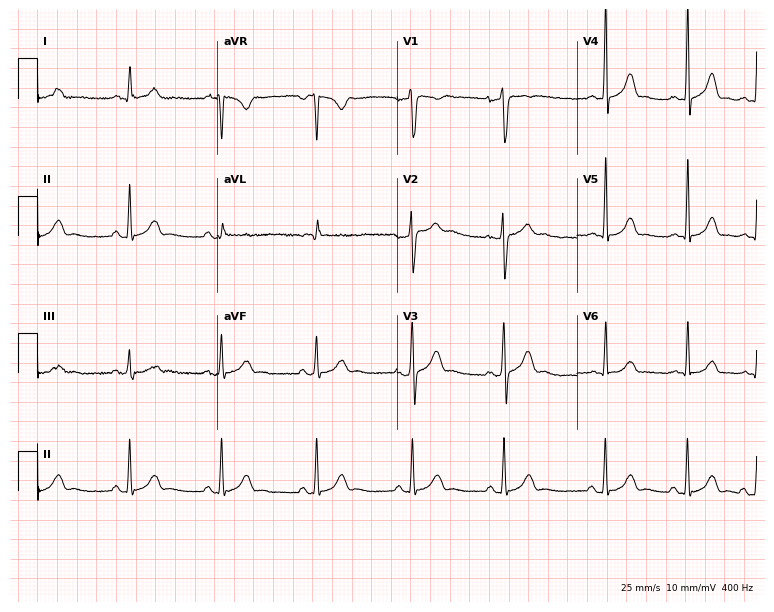
12-lead ECG (7.3-second recording at 400 Hz) from a 29-year-old man. Labelled as a normal ECG.